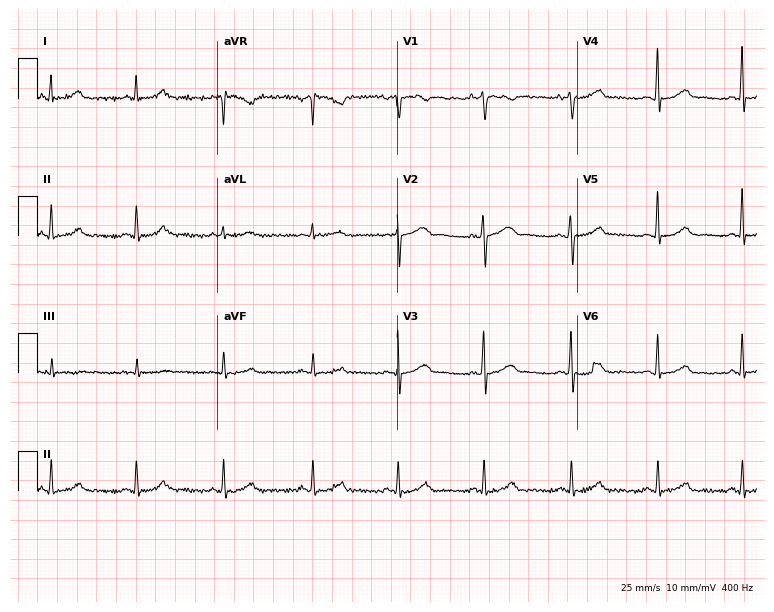
ECG — a 40-year-old female patient. Labelled as a normal ECG.